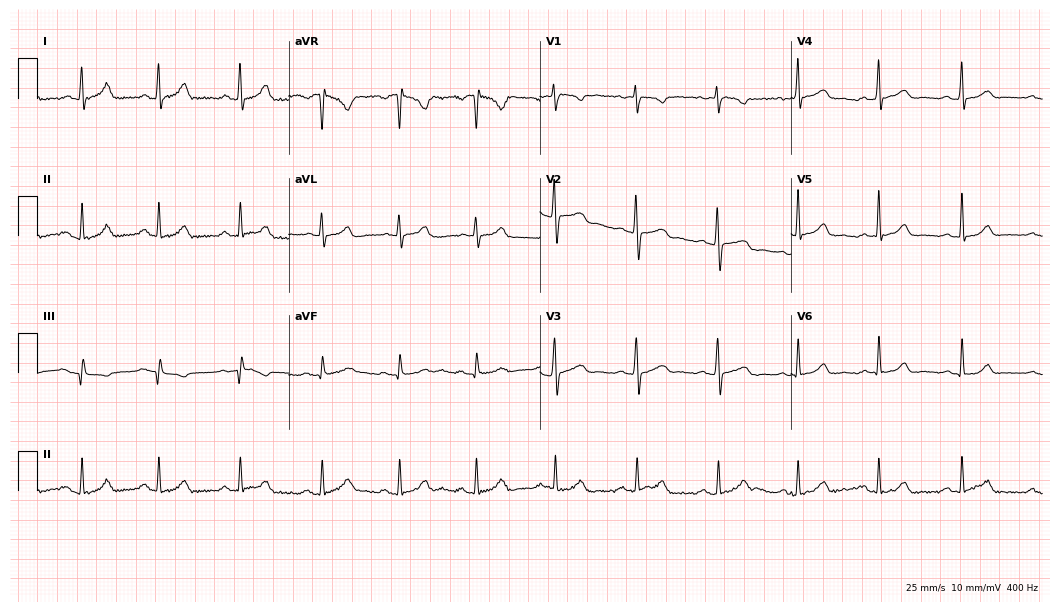
Electrocardiogram, a 36-year-old female patient. Of the six screened findings (first-degree AV block, right bundle branch block, left bundle branch block, sinus bradycardia, atrial fibrillation, sinus tachycardia), none is recorded. Only these six findings were labelled.